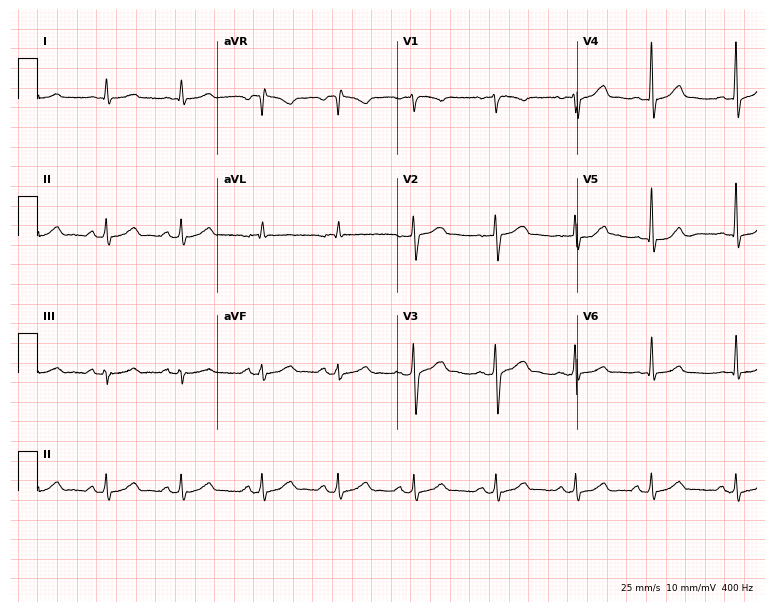
12-lead ECG from a 51-year-old male patient (7.3-second recording at 400 Hz). No first-degree AV block, right bundle branch block, left bundle branch block, sinus bradycardia, atrial fibrillation or sinus tachycardia recorded for this tracing. Other findings, if any, are not listed.